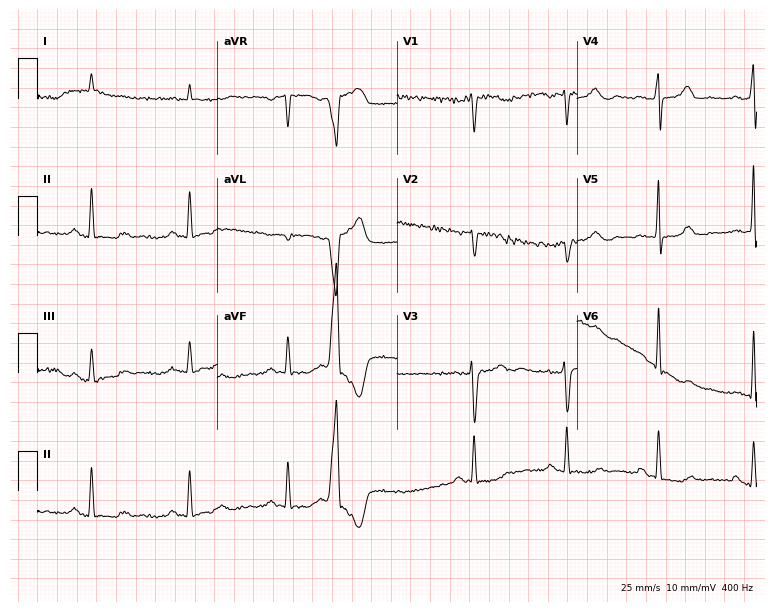
Resting 12-lead electrocardiogram. Patient: a man, 79 years old. None of these six findings is recorded: first-degree AV block, right bundle branch block, left bundle branch block, sinus bradycardia, atrial fibrillation, sinus tachycardia.